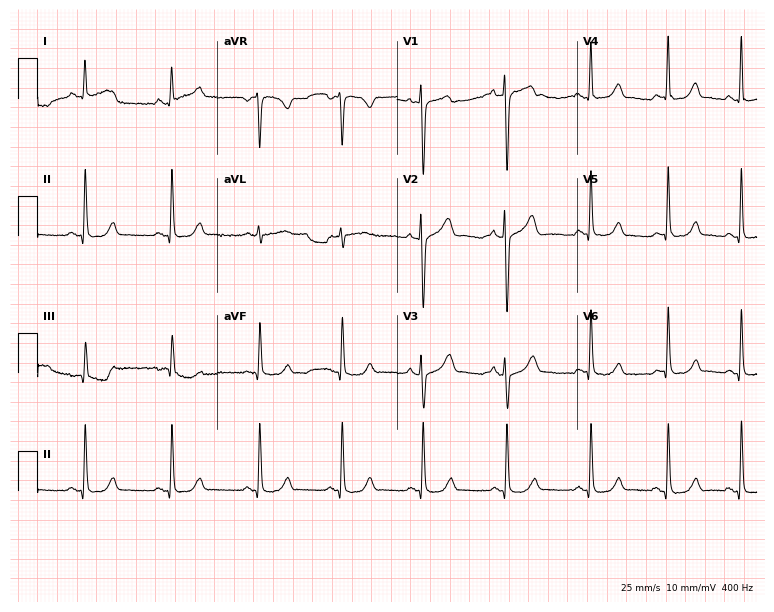
Resting 12-lead electrocardiogram. Patient: a woman, 35 years old. None of these six findings is recorded: first-degree AV block, right bundle branch block (RBBB), left bundle branch block (LBBB), sinus bradycardia, atrial fibrillation (AF), sinus tachycardia.